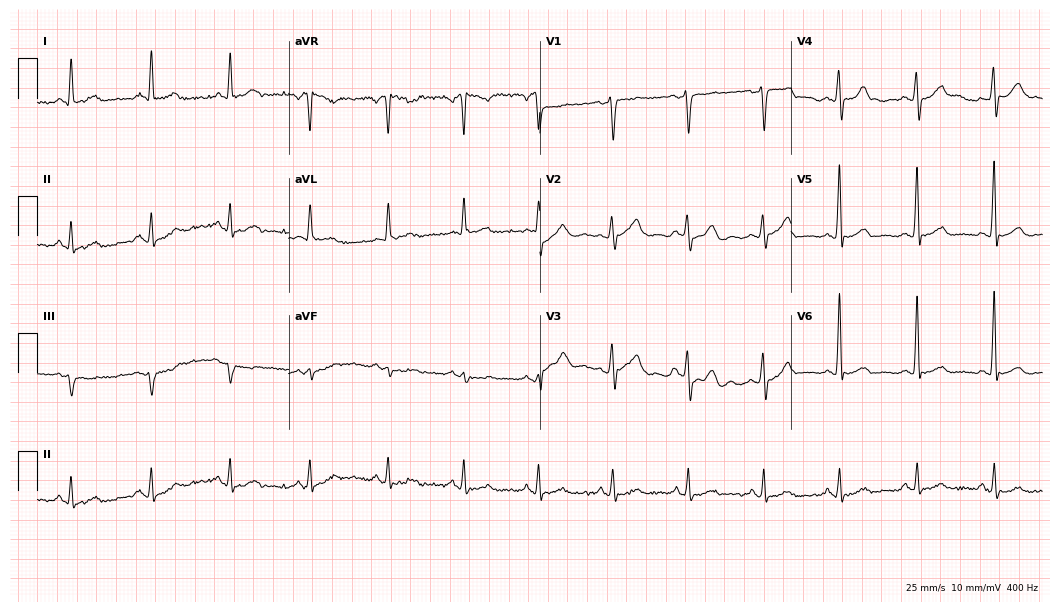
Resting 12-lead electrocardiogram (10.2-second recording at 400 Hz). Patient: a 54-year-old man. Read as a normal ECG.